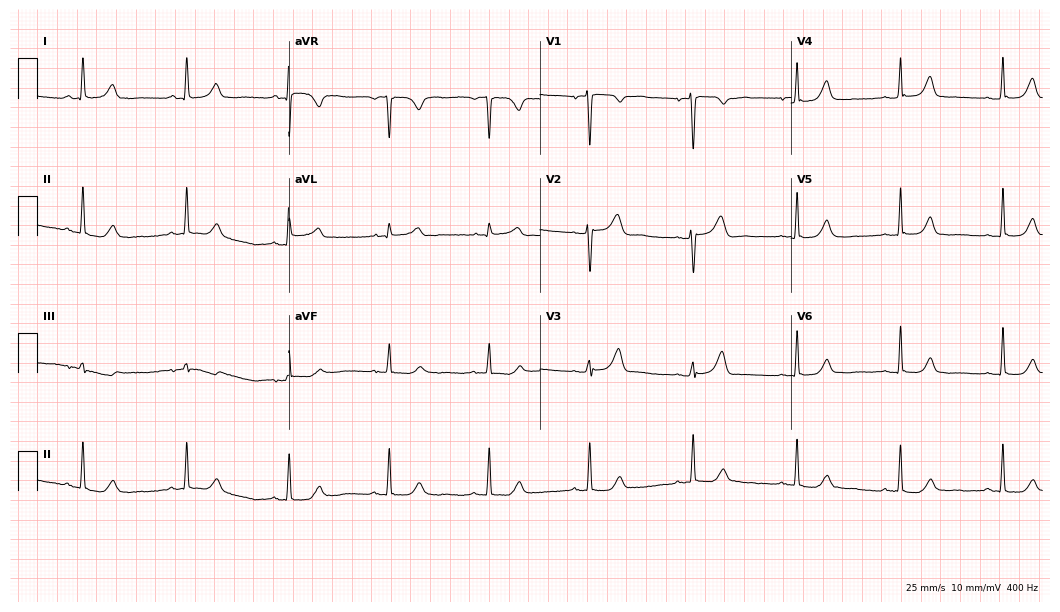
Electrocardiogram (10.2-second recording at 400 Hz), a female, 42 years old. Of the six screened findings (first-degree AV block, right bundle branch block (RBBB), left bundle branch block (LBBB), sinus bradycardia, atrial fibrillation (AF), sinus tachycardia), none is recorded.